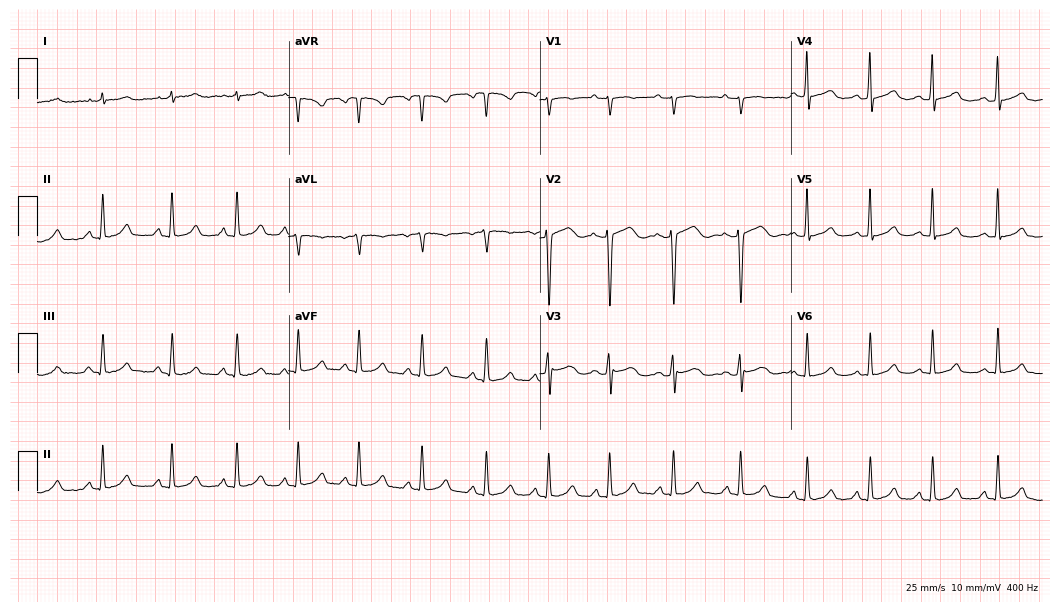
12-lead ECG (10.2-second recording at 400 Hz) from a woman, 30 years old. Screened for six findings — first-degree AV block, right bundle branch block, left bundle branch block, sinus bradycardia, atrial fibrillation, sinus tachycardia — none is recorded.